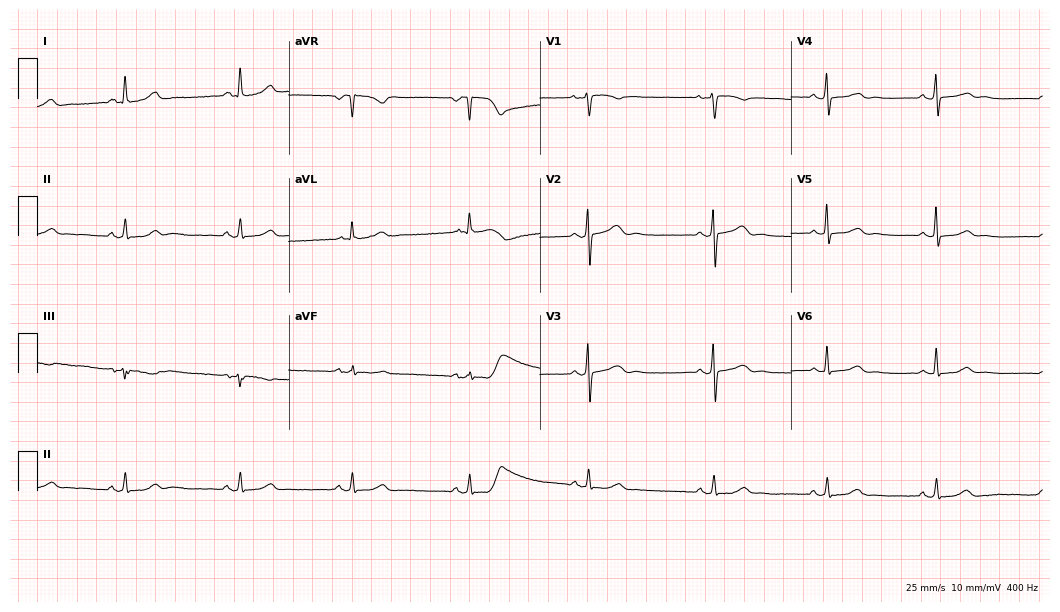
Resting 12-lead electrocardiogram (10.2-second recording at 400 Hz). Patient: a 55-year-old female. None of these six findings is recorded: first-degree AV block, right bundle branch block, left bundle branch block, sinus bradycardia, atrial fibrillation, sinus tachycardia.